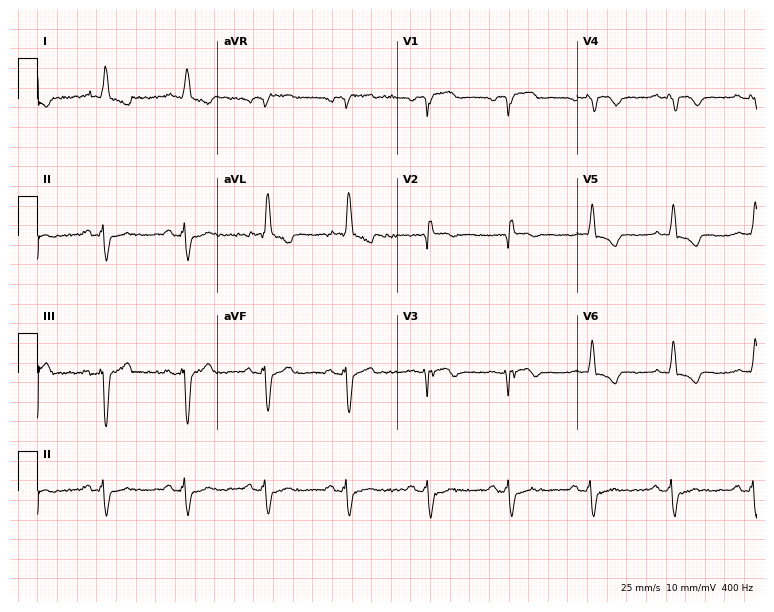
12-lead ECG from an 82-year-old male patient (7.3-second recording at 400 Hz). Shows left bundle branch block (LBBB).